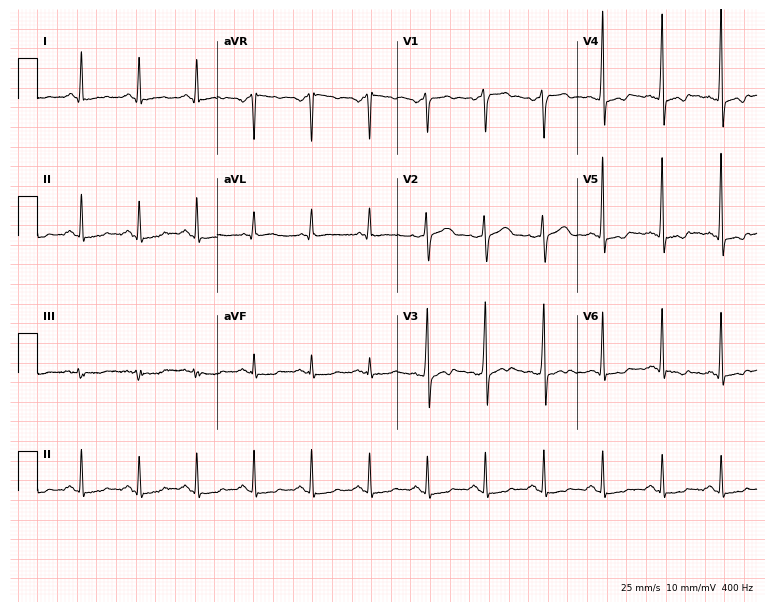
12-lead ECG from a man, 45 years old. No first-degree AV block, right bundle branch block (RBBB), left bundle branch block (LBBB), sinus bradycardia, atrial fibrillation (AF) or sinus tachycardia recorded for this tracing. Other findings, if any, are not listed.